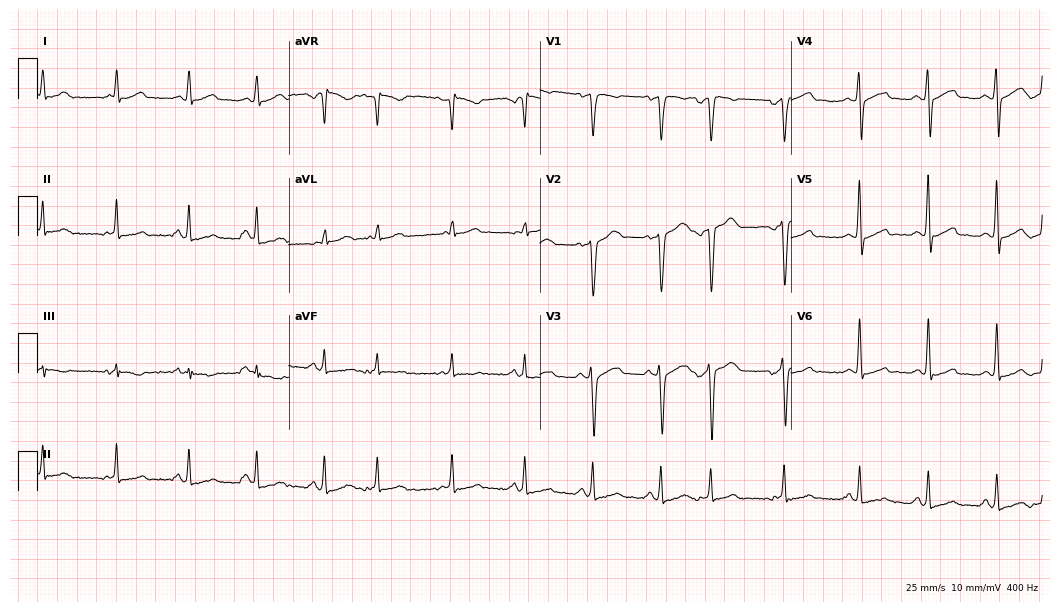
Resting 12-lead electrocardiogram. Patient: a male, 41 years old. None of these six findings is recorded: first-degree AV block, right bundle branch block, left bundle branch block, sinus bradycardia, atrial fibrillation, sinus tachycardia.